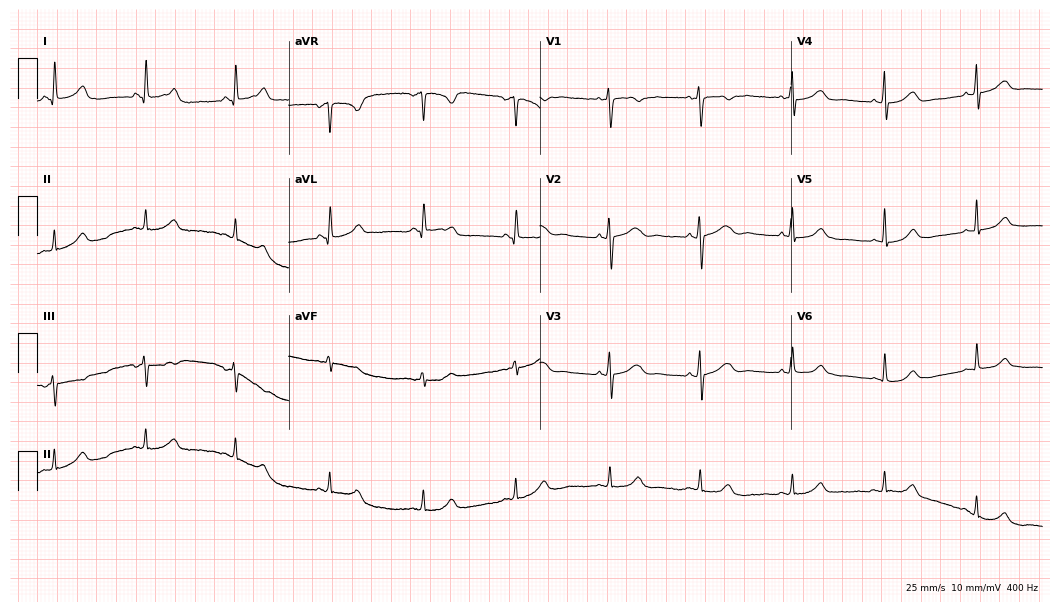
12-lead ECG (10.2-second recording at 400 Hz) from a female patient, 39 years old. Labelled as a normal ECG.